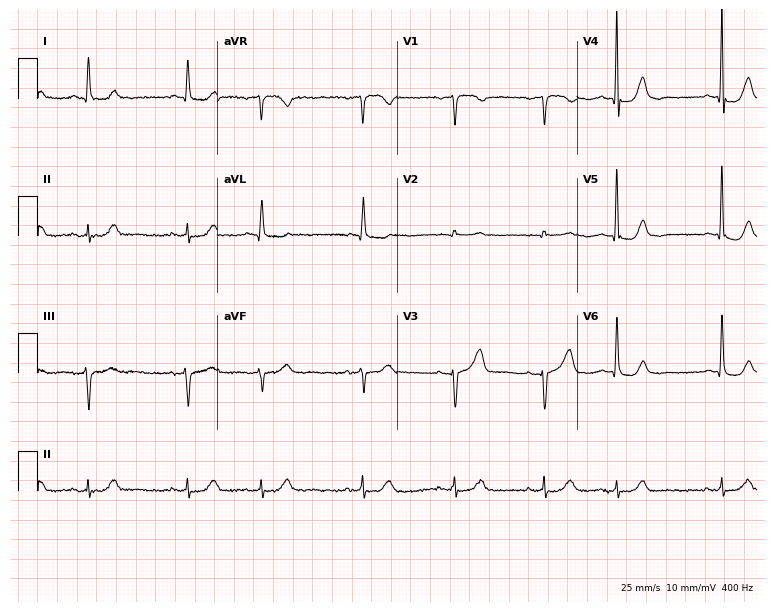
Resting 12-lead electrocardiogram (7.3-second recording at 400 Hz). Patient: a female, 83 years old. None of these six findings is recorded: first-degree AV block, right bundle branch block, left bundle branch block, sinus bradycardia, atrial fibrillation, sinus tachycardia.